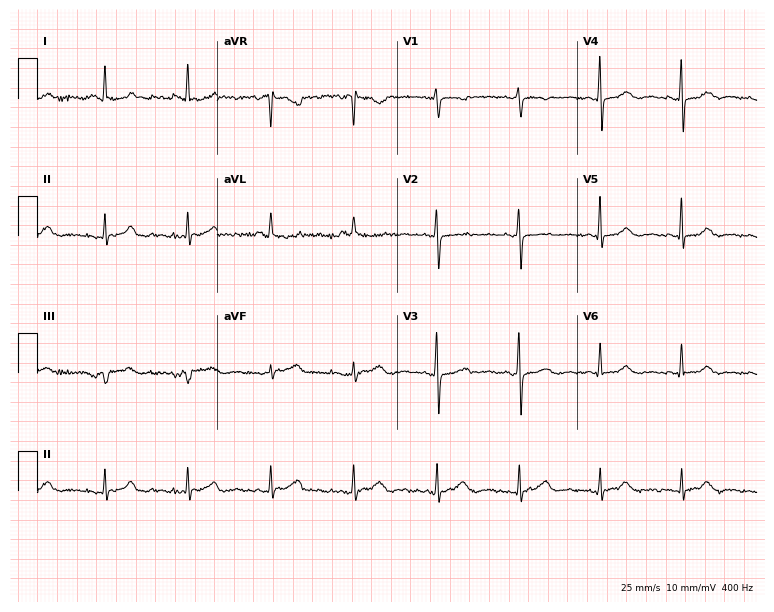
12-lead ECG from a 78-year-old woman. Recorded interpretation: within normal limits.